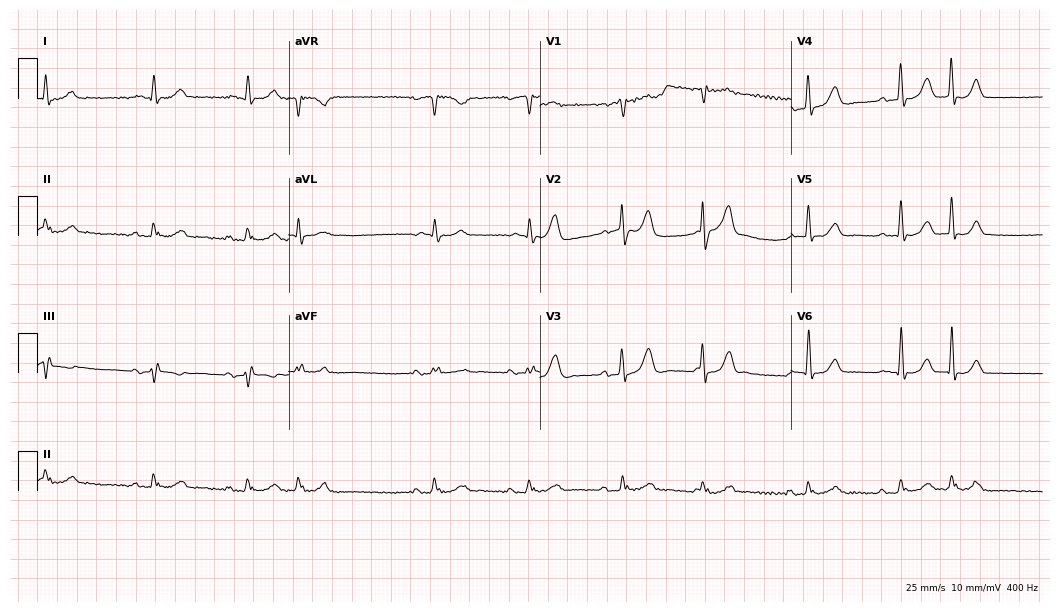
12-lead ECG from a man, 80 years old. Recorded interpretation: within normal limits.